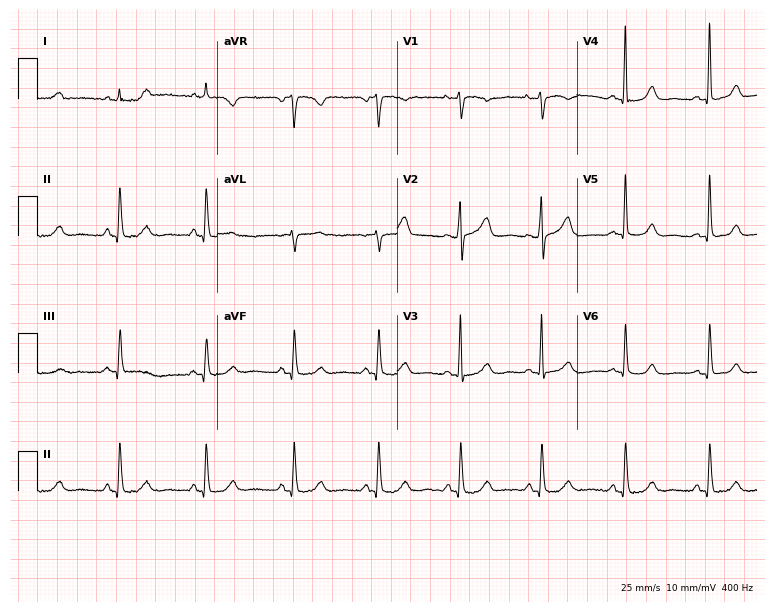
Standard 12-lead ECG recorded from a female, 68 years old (7.3-second recording at 400 Hz). None of these six findings is recorded: first-degree AV block, right bundle branch block, left bundle branch block, sinus bradycardia, atrial fibrillation, sinus tachycardia. Other findings, if any, are not listed.